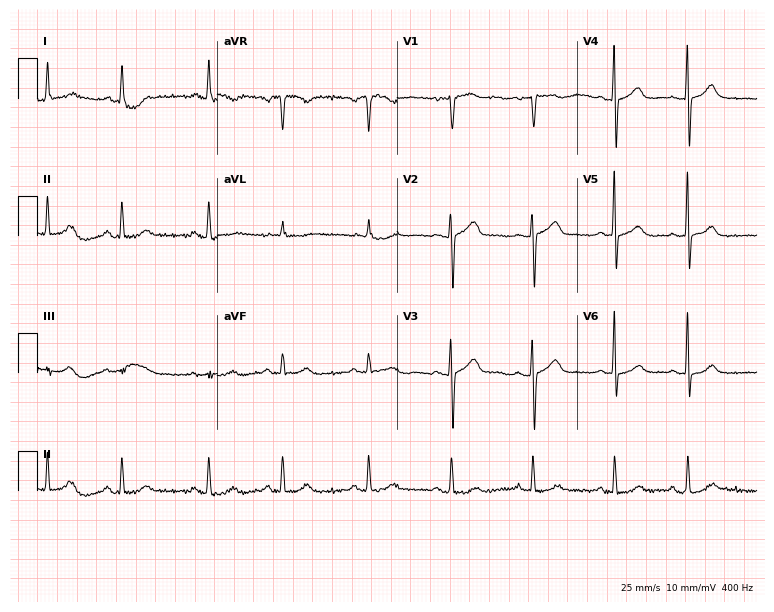
Resting 12-lead electrocardiogram. Patient: a 73-year-old female. Read as a normal ECG.